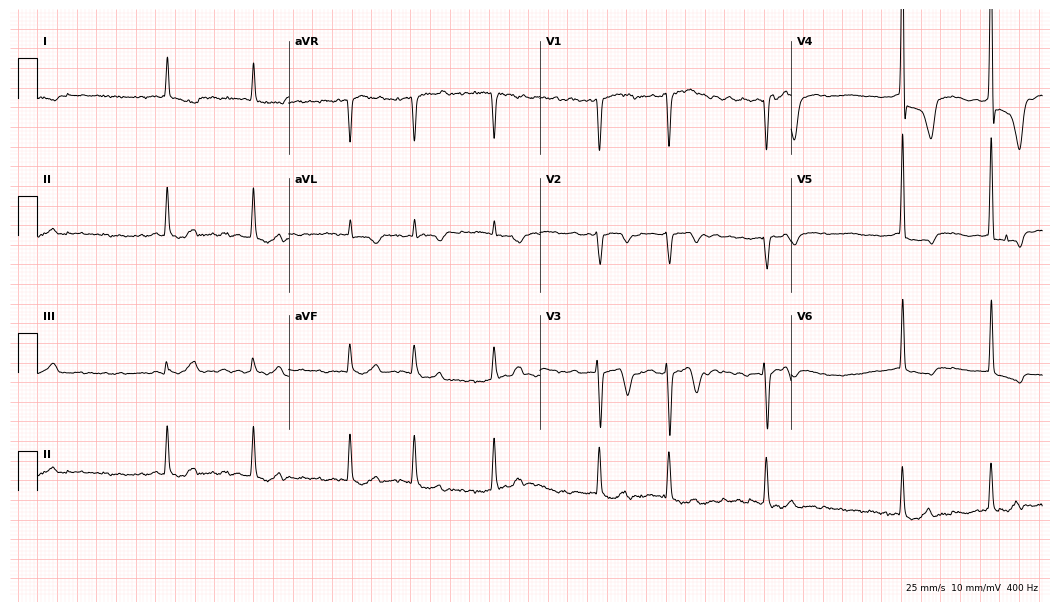
Electrocardiogram, a female patient, 82 years old. Interpretation includes atrial fibrillation (AF).